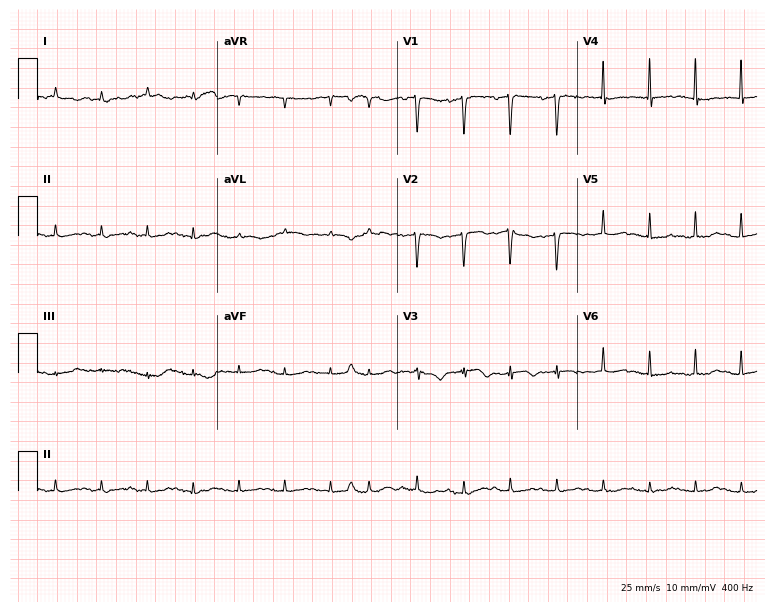
ECG (7.3-second recording at 400 Hz) — a 78-year-old female patient. Screened for six findings — first-degree AV block, right bundle branch block (RBBB), left bundle branch block (LBBB), sinus bradycardia, atrial fibrillation (AF), sinus tachycardia — none is recorded.